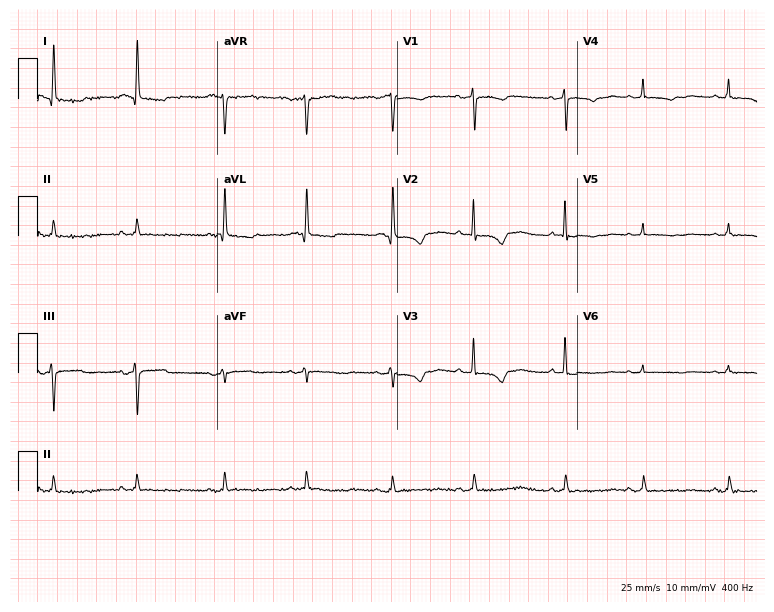
ECG — an 83-year-old woman. Labelled as a normal ECG.